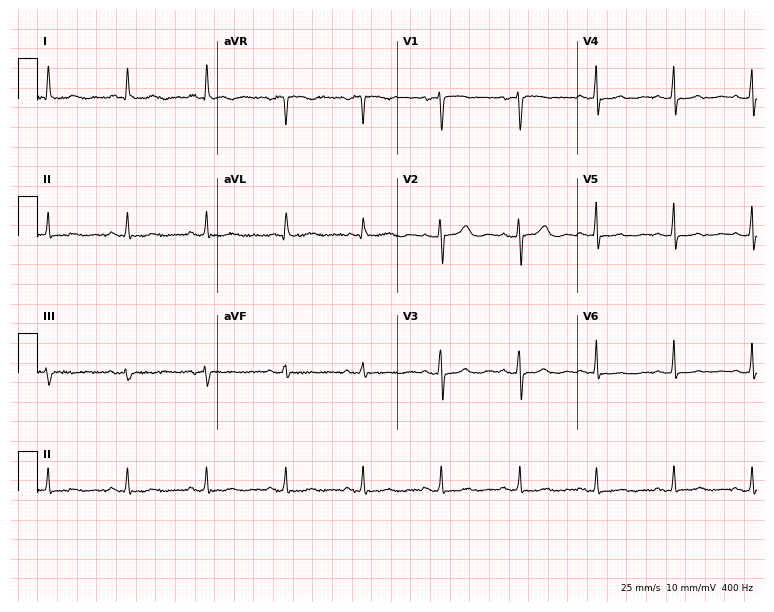
Resting 12-lead electrocardiogram (7.3-second recording at 400 Hz). Patient: a woman, 55 years old. None of these six findings is recorded: first-degree AV block, right bundle branch block, left bundle branch block, sinus bradycardia, atrial fibrillation, sinus tachycardia.